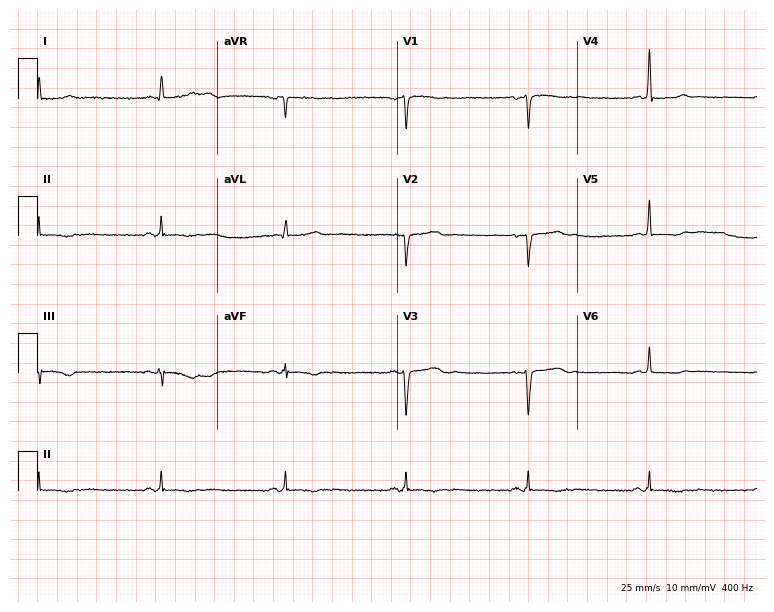
Resting 12-lead electrocardiogram (7.3-second recording at 400 Hz). Patient: a 40-year-old female. None of these six findings is recorded: first-degree AV block, right bundle branch block, left bundle branch block, sinus bradycardia, atrial fibrillation, sinus tachycardia. Only these six findings were labelled.